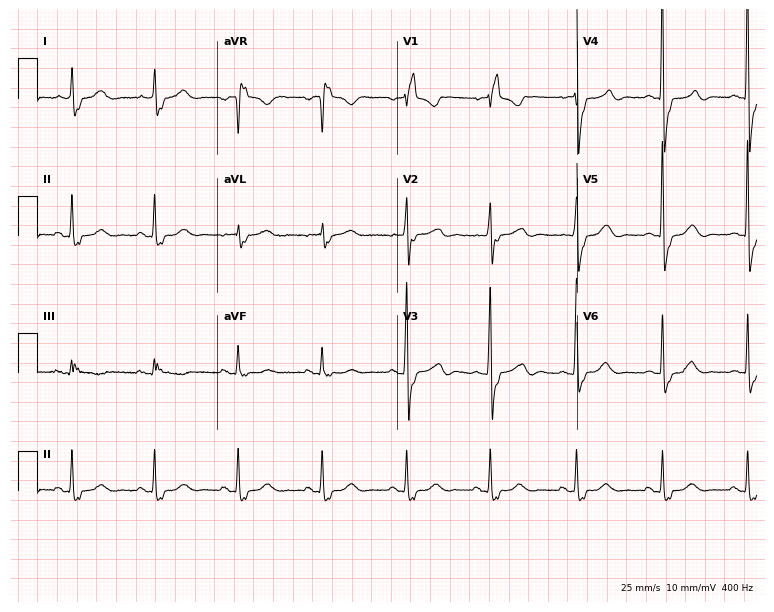
Standard 12-lead ECG recorded from a 64-year-old female (7.3-second recording at 400 Hz). The tracing shows right bundle branch block (RBBB).